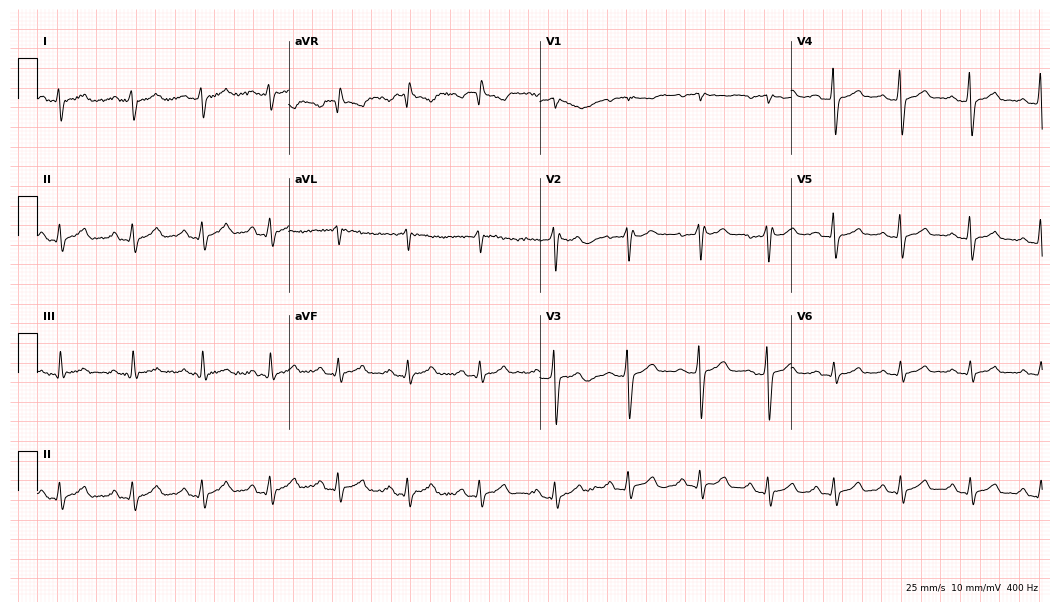
Electrocardiogram (10.2-second recording at 400 Hz), a male patient, 41 years old. Of the six screened findings (first-degree AV block, right bundle branch block, left bundle branch block, sinus bradycardia, atrial fibrillation, sinus tachycardia), none is recorded.